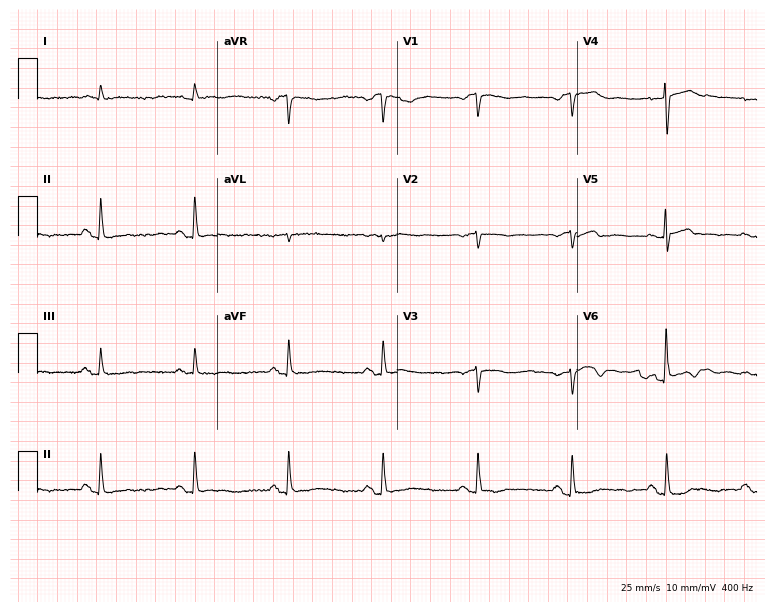
12-lead ECG from an 82-year-old male patient. No first-degree AV block, right bundle branch block, left bundle branch block, sinus bradycardia, atrial fibrillation or sinus tachycardia recorded for this tracing.